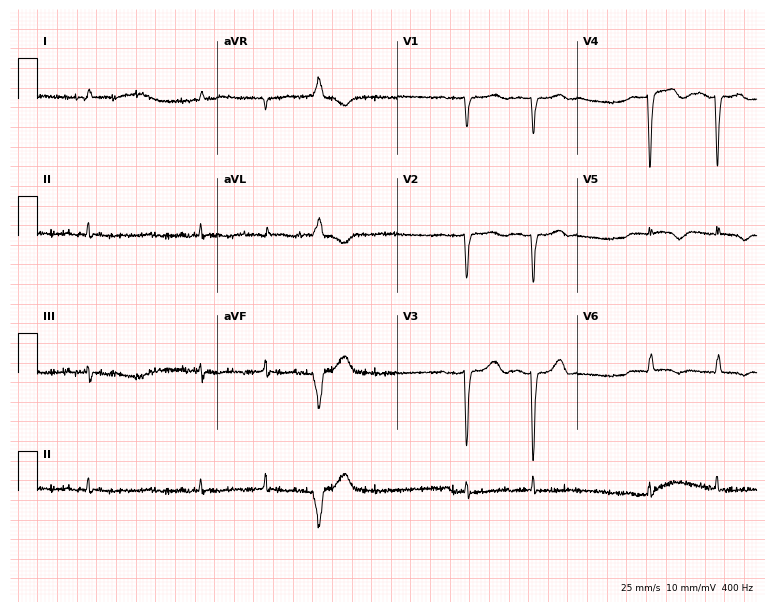
12-lead ECG (7.3-second recording at 400 Hz) from a male, 82 years old. Findings include atrial fibrillation.